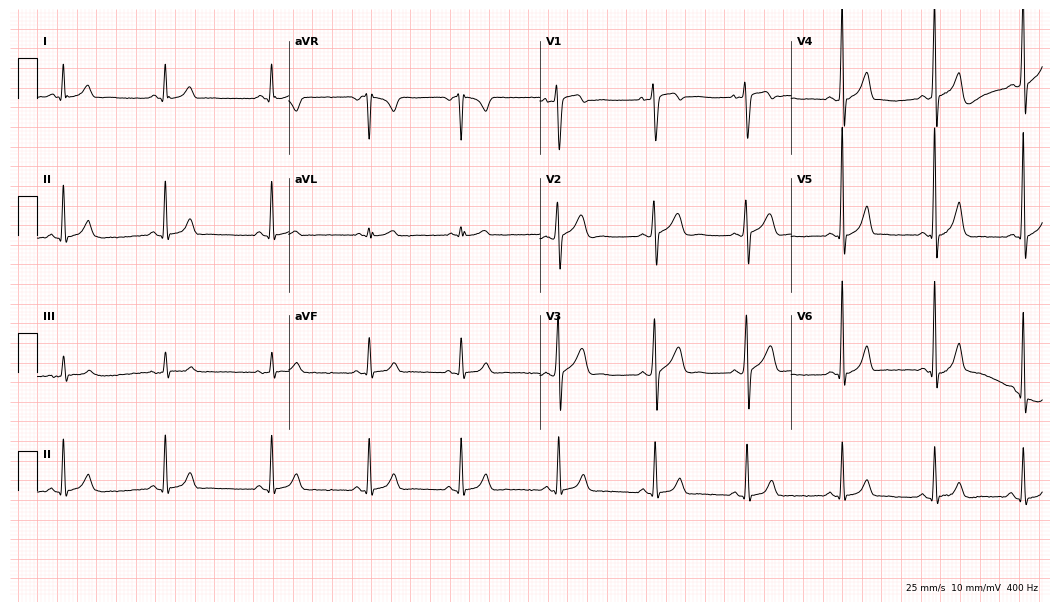
ECG (10.2-second recording at 400 Hz) — a 21-year-old male. Labelled as a normal ECG.